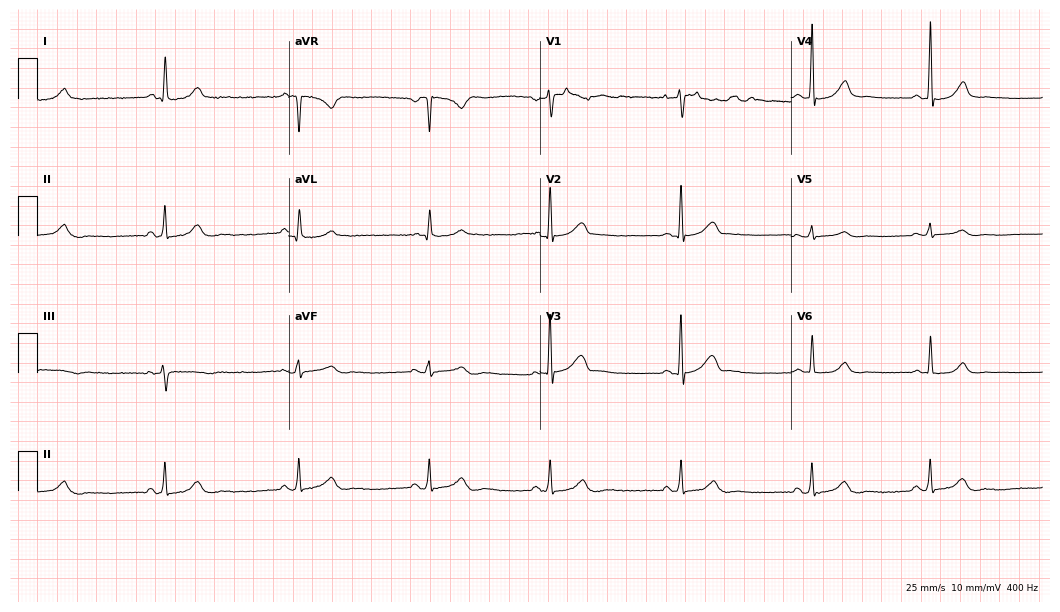
Resting 12-lead electrocardiogram (10.2-second recording at 400 Hz). Patient: a female, 34 years old. Read as a normal ECG.